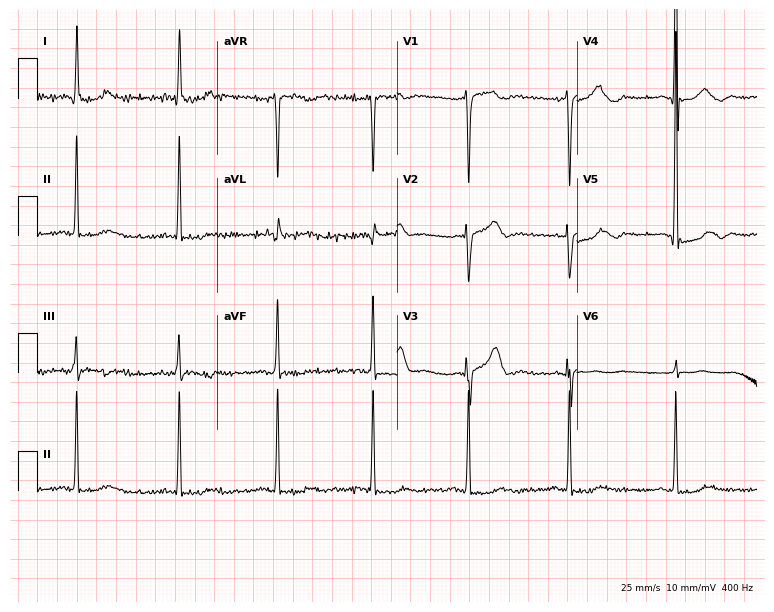
Resting 12-lead electrocardiogram. Patient: a male, 60 years old. None of these six findings is recorded: first-degree AV block, right bundle branch block (RBBB), left bundle branch block (LBBB), sinus bradycardia, atrial fibrillation (AF), sinus tachycardia.